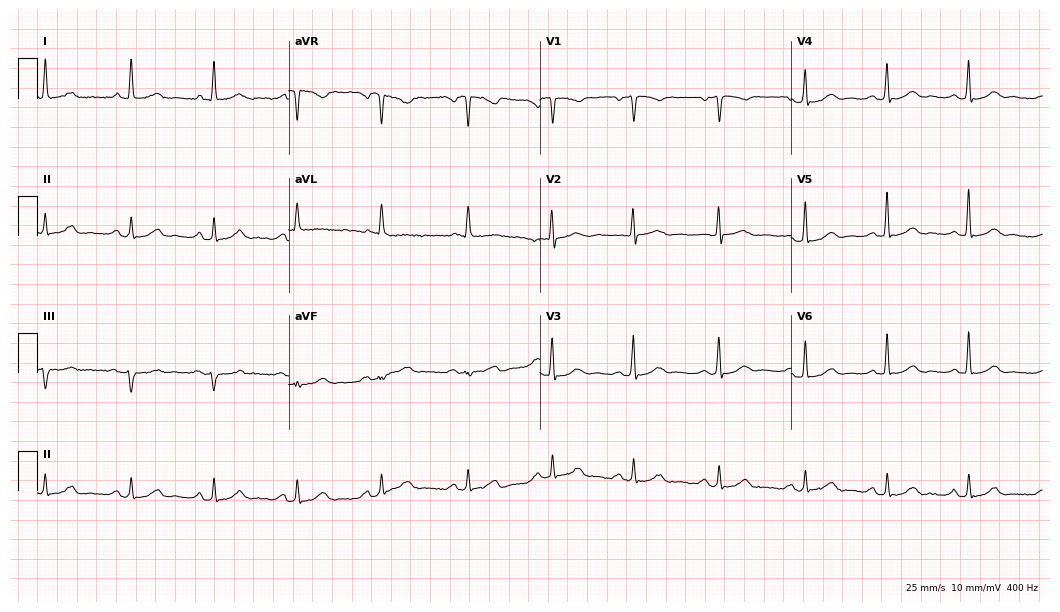
12-lead ECG from a 69-year-old female. Labelled as a normal ECG.